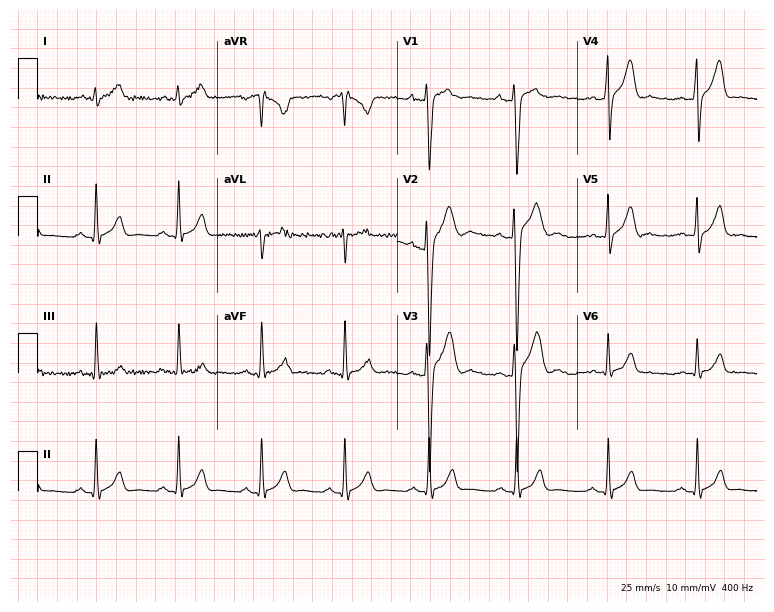
12-lead ECG (7.3-second recording at 400 Hz) from a 29-year-old male. Labelled as a normal ECG.